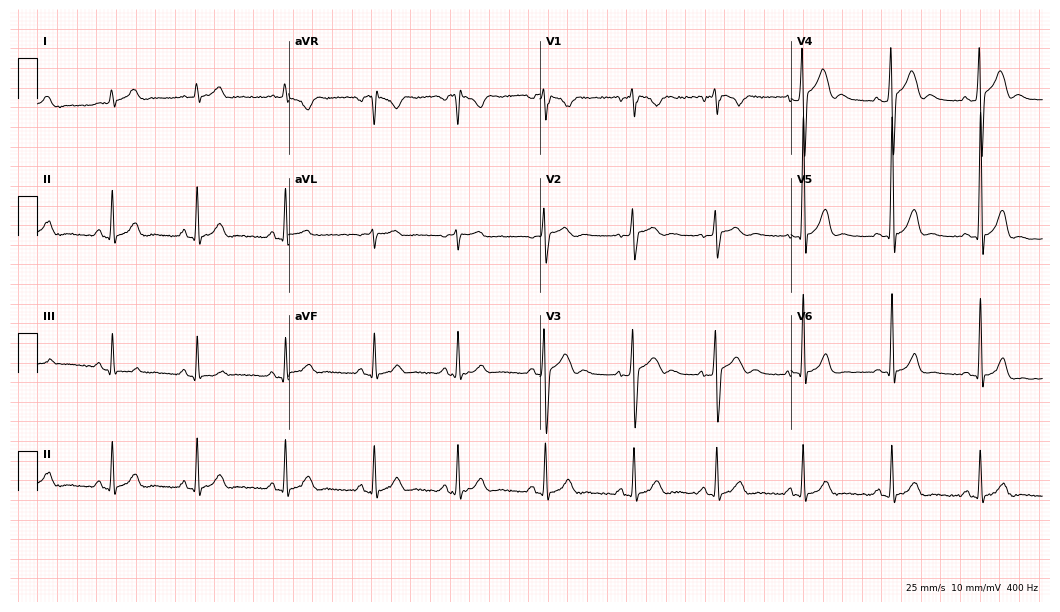
Resting 12-lead electrocardiogram (10.2-second recording at 400 Hz). Patient: a male, 24 years old. Read as a normal ECG.